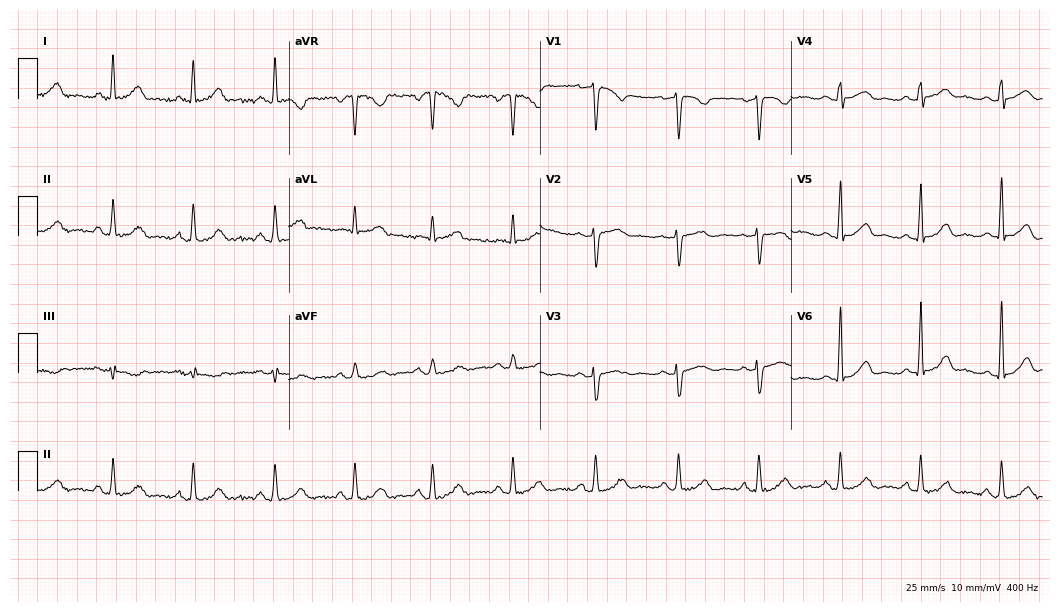
12-lead ECG from a 44-year-old female. Labelled as a normal ECG.